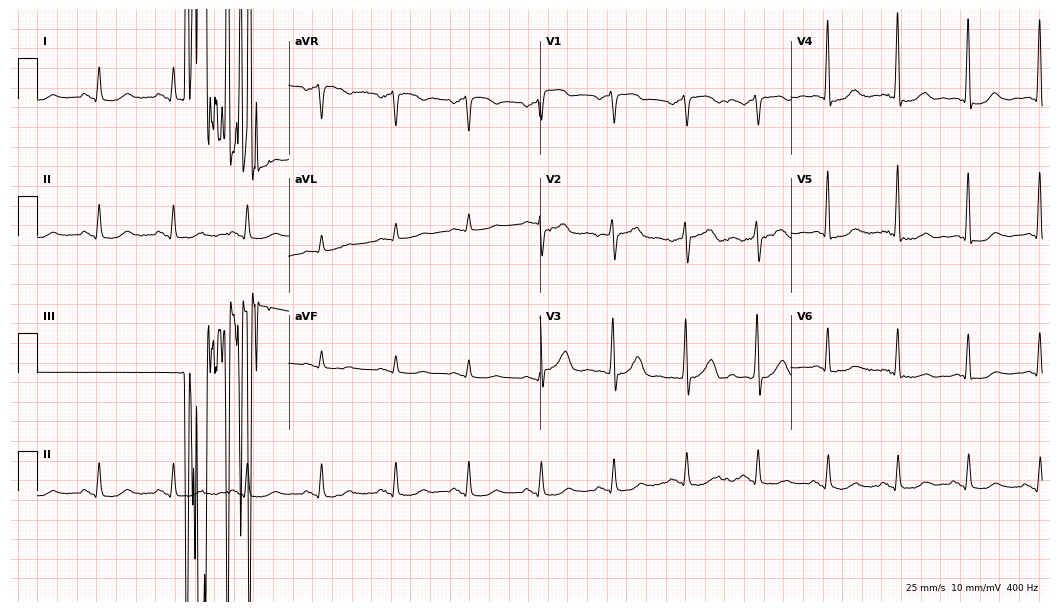
12-lead ECG (10.2-second recording at 400 Hz) from an 81-year-old male patient. Screened for six findings — first-degree AV block, right bundle branch block, left bundle branch block, sinus bradycardia, atrial fibrillation, sinus tachycardia — none is recorded. Other findings, if any, are not listed.